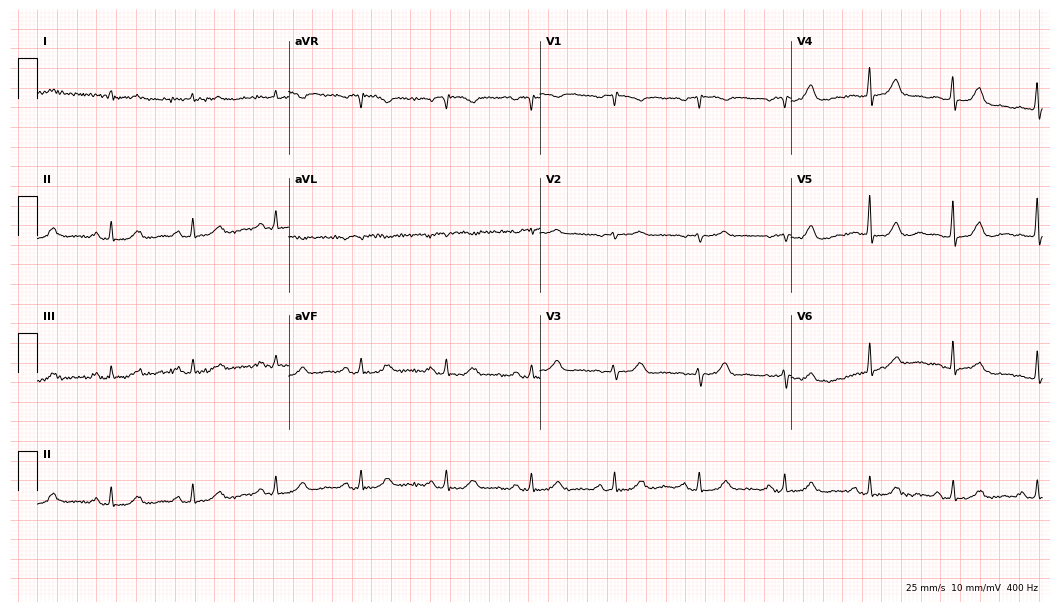
Resting 12-lead electrocardiogram. Patient: a male, 78 years old. None of these six findings is recorded: first-degree AV block, right bundle branch block, left bundle branch block, sinus bradycardia, atrial fibrillation, sinus tachycardia.